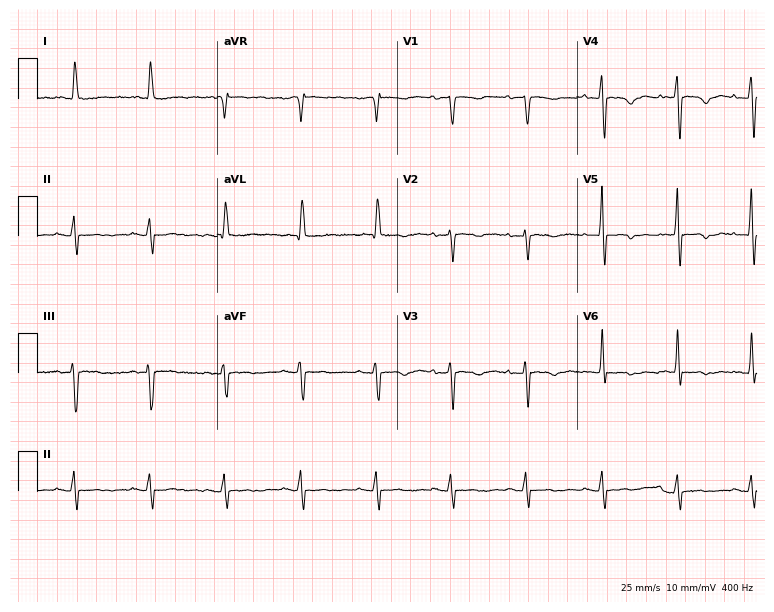
Resting 12-lead electrocardiogram (7.3-second recording at 400 Hz). Patient: a 48-year-old female. Read as a normal ECG.